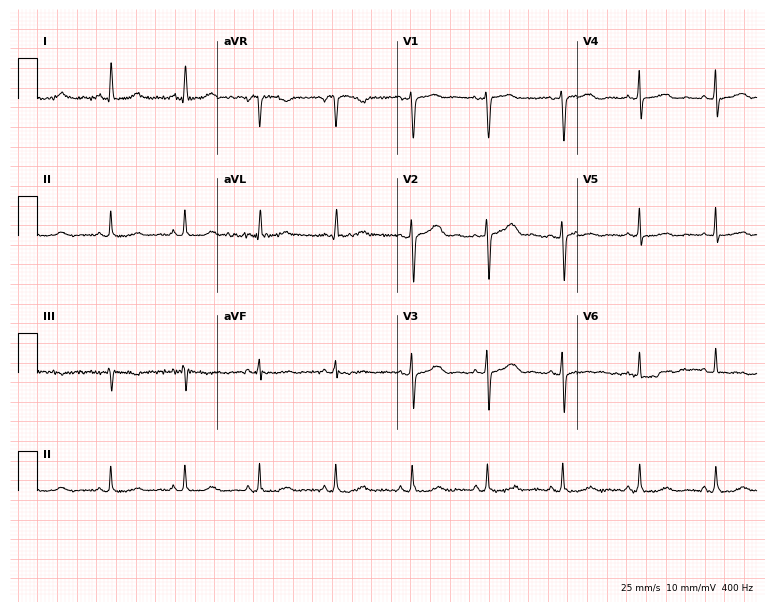
Resting 12-lead electrocardiogram (7.3-second recording at 400 Hz). Patient: a 40-year-old female. Read as a normal ECG.